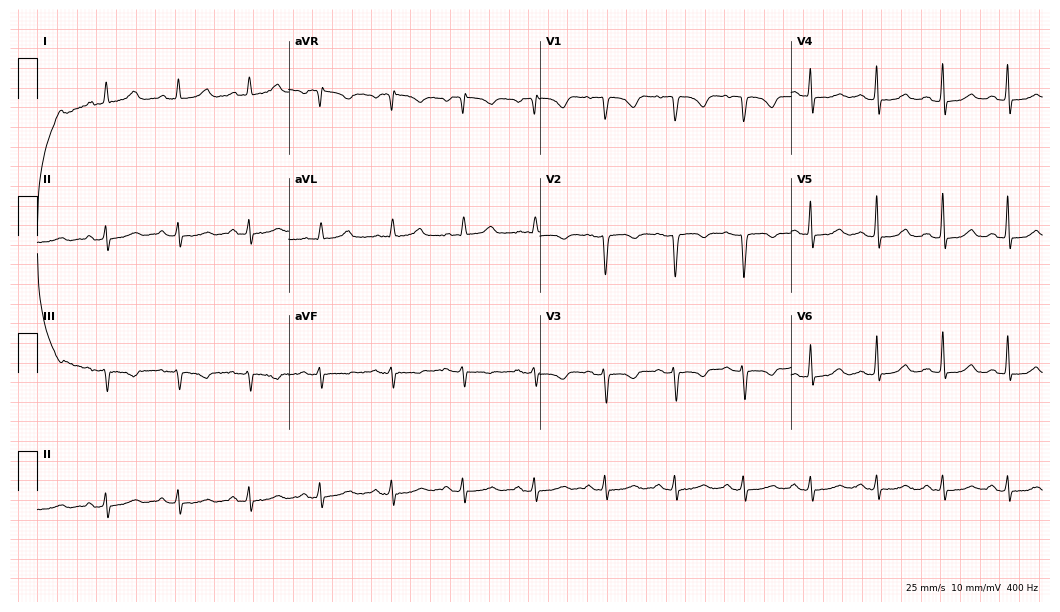
12-lead ECG from a 54-year-old female patient. Screened for six findings — first-degree AV block, right bundle branch block (RBBB), left bundle branch block (LBBB), sinus bradycardia, atrial fibrillation (AF), sinus tachycardia — none is recorded.